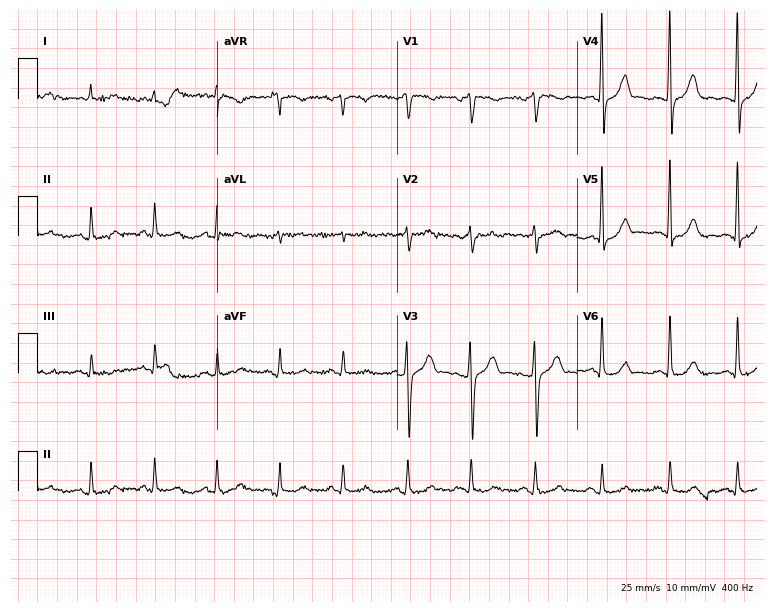
Electrocardiogram (7.3-second recording at 400 Hz), a male patient, 54 years old. Of the six screened findings (first-degree AV block, right bundle branch block (RBBB), left bundle branch block (LBBB), sinus bradycardia, atrial fibrillation (AF), sinus tachycardia), none is recorded.